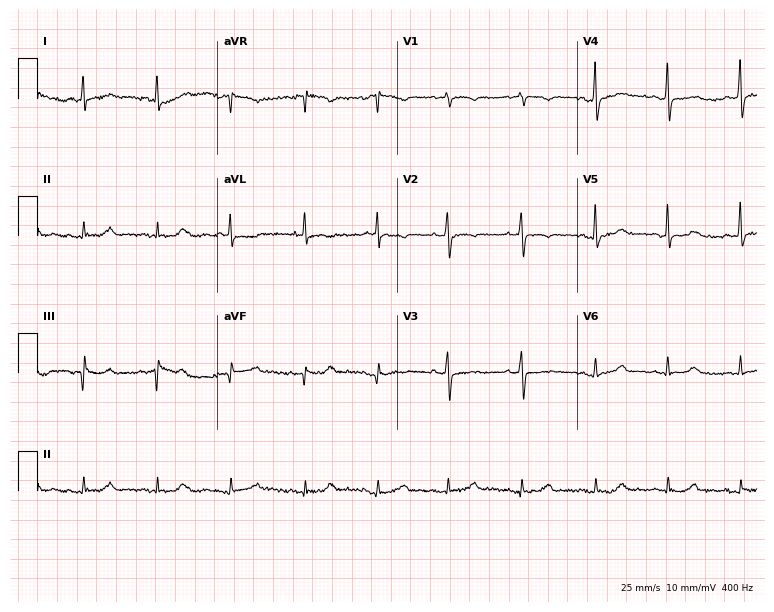
ECG — a female patient, 82 years old. Labelled as a normal ECG.